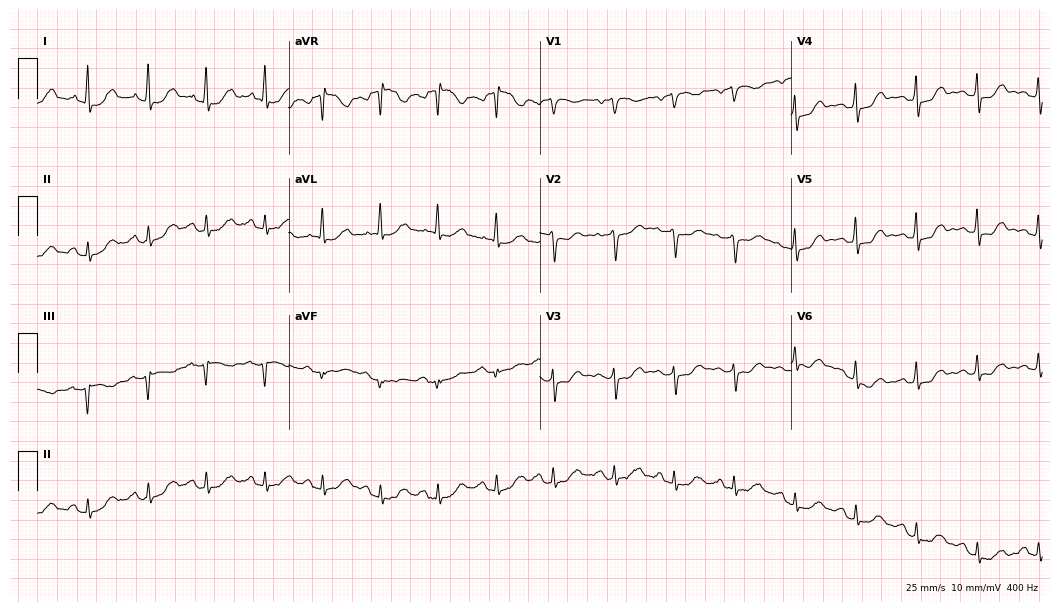
Resting 12-lead electrocardiogram (10.2-second recording at 400 Hz). Patient: a woman, 68 years old. None of these six findings is recorded: first-degree AV block, right bundle branch block, left bundle branch block, sinus bradycardia, atrial fibrillation, sinus tachycardia.